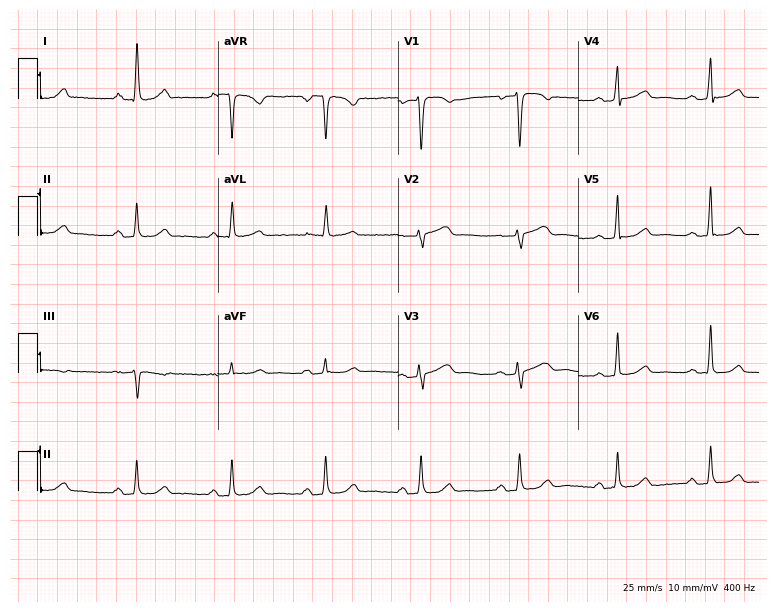
Resting 12-lead electrocardiogram (7.4-second recording at 400 Hz). Patient: a 38-year-old female. Read as a normal ECG.